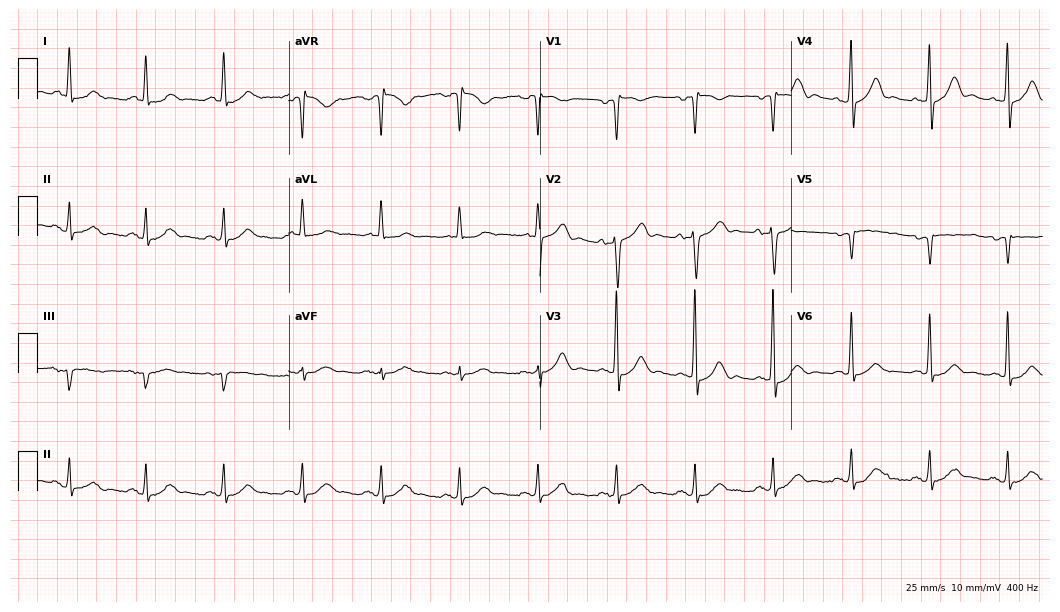
Electrocardiogram (10.2-second recording at 400 Hz), a male patient, 79 years old. Of the six screened findings (first-degree AV block, right bundle branch block, left bundle branch block, sinus bradycardia, atrial fibrillation, sinus tachycardia), none is recorded. Findings outside these six are not listed.